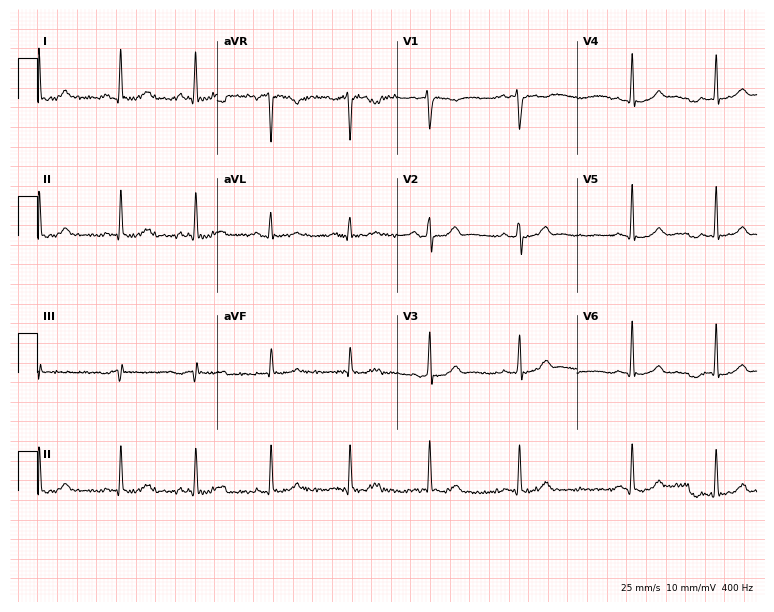
12-lead ECG (7.3-second recording at 400 Hz) from a female, 20 years old. Labelled as a normal ECG.